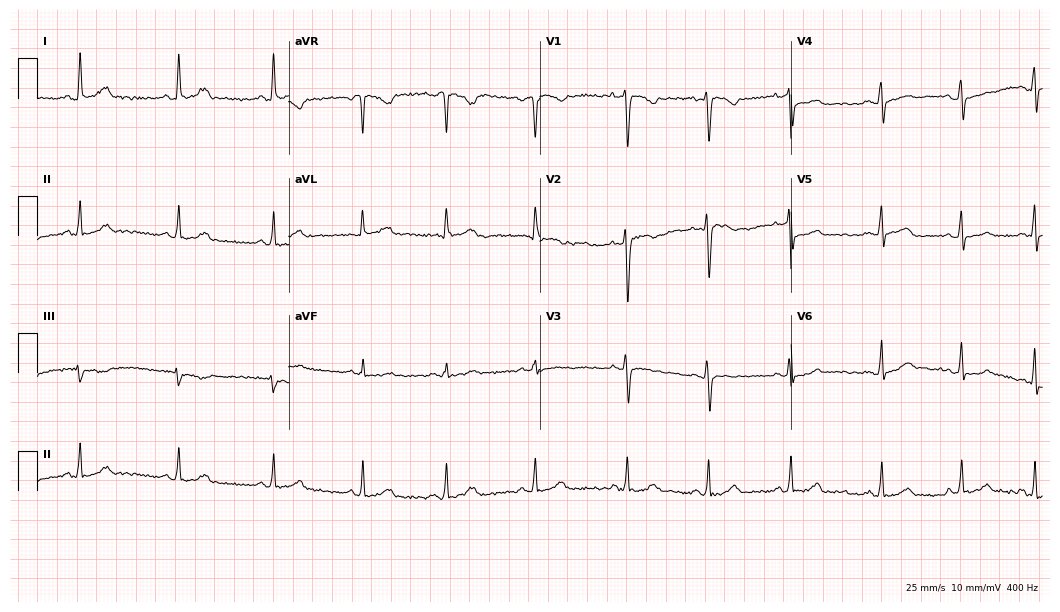
ECG (10.2-second recording at 400 Hz) — a female patient, 31 years old. Labelled as a normal ECG.